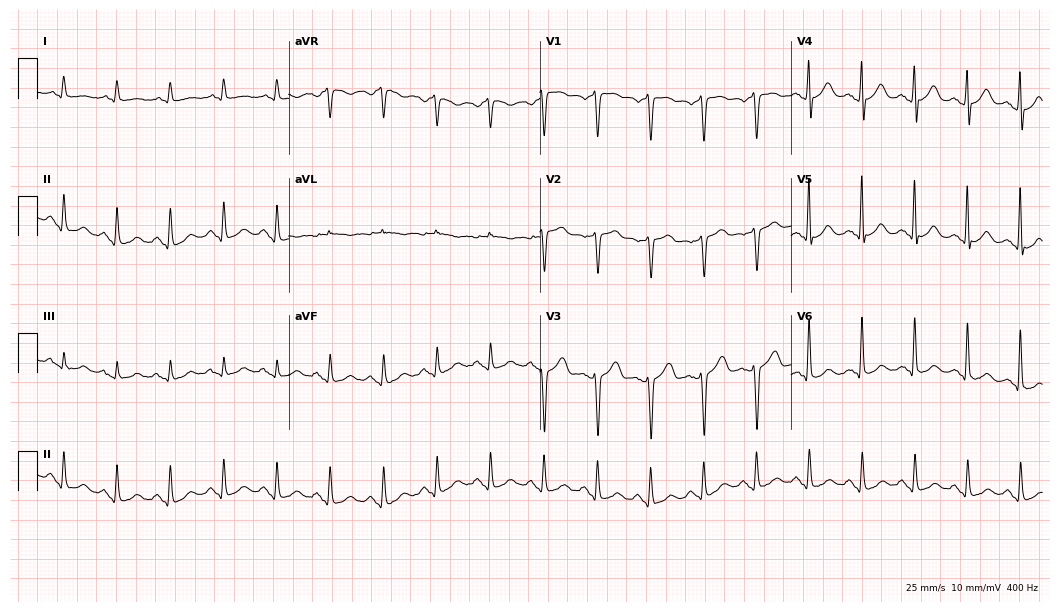
Standard 12-lead ECG recorded from a 64-year-old man. The tracing shows sinus tachycardia (a sinus rate of 100 beats per minute or more).